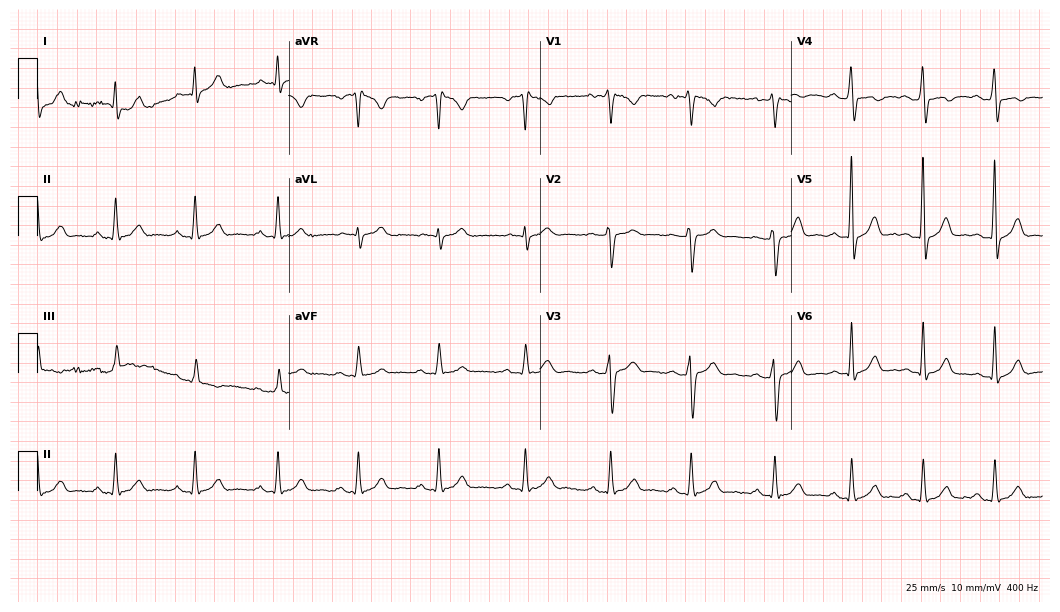
ECG (10.2-second recording at 400 Hz) — a 26-year-old man. Screened for six findings — first-degree AV block, right bundle branch block, left bundle branch block, sinus bradycardia, atrial fibrillation, sinus tachycardia — none is recorded.